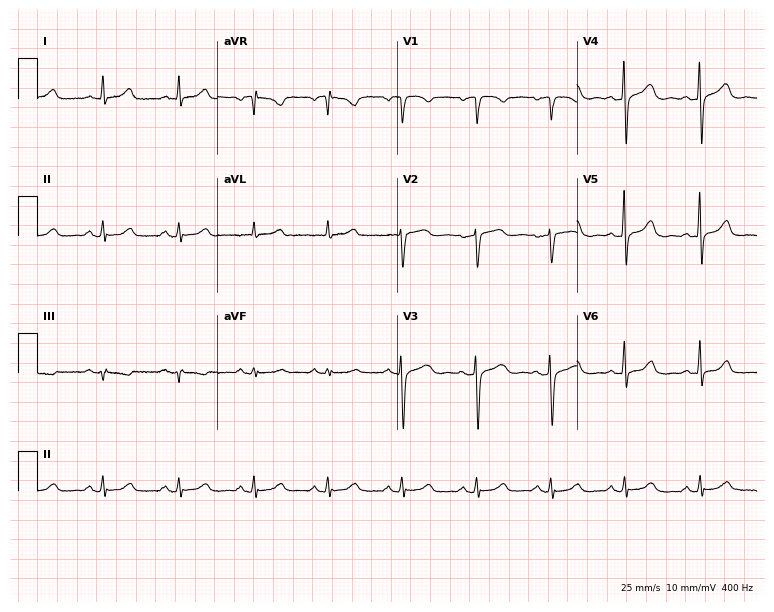
Standard 12-lead ECG recorded from a woman, 53 years old. Read as a normal ECG.